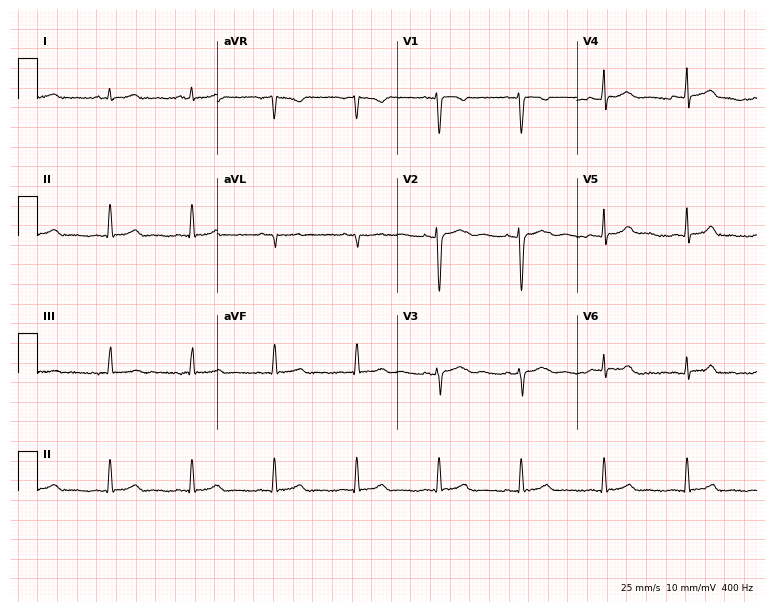
Standard 12-lead ECG recorded from a female patient, 33 years old (7.3-second recording at 400 Hz). Read as a normal ECG.